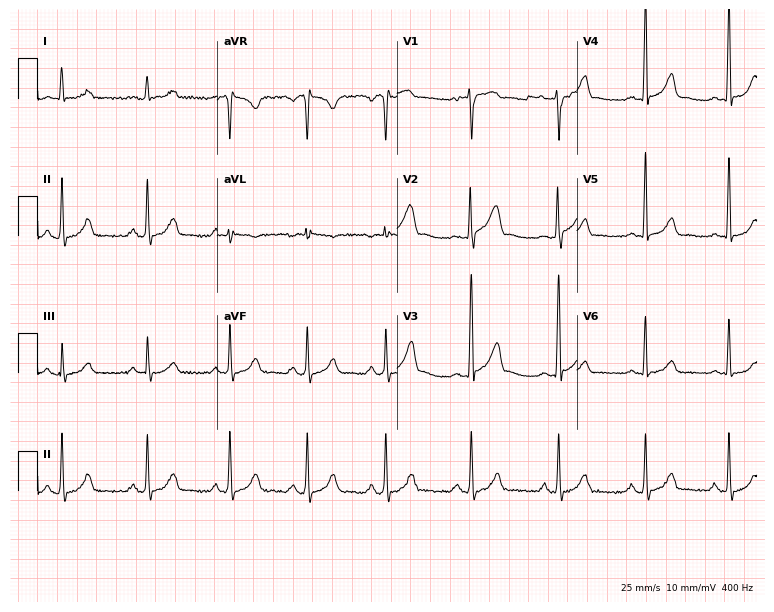
ECG — a man, 28 years old. Labelled as a normal ECG.